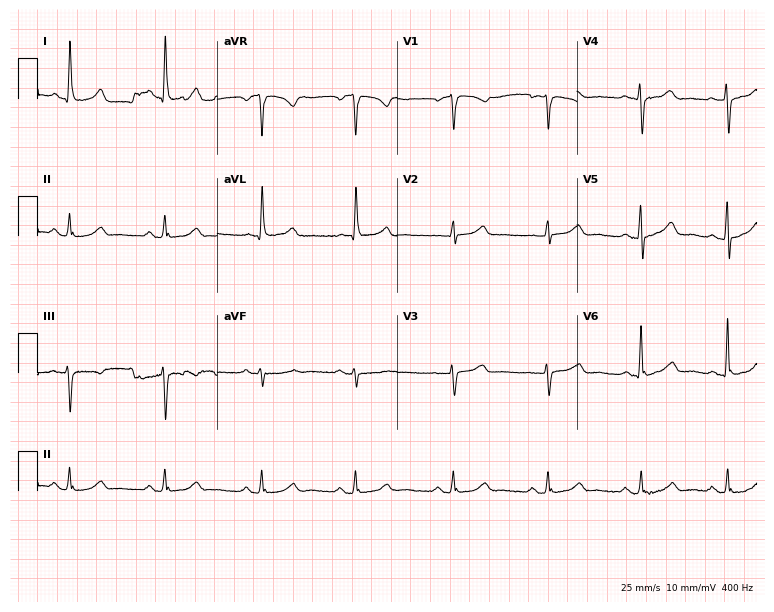
Electrocardiogram (7.3-second recording at 400 Hz), a 59-year-old female patient. Overall reading on record: normal ECG.